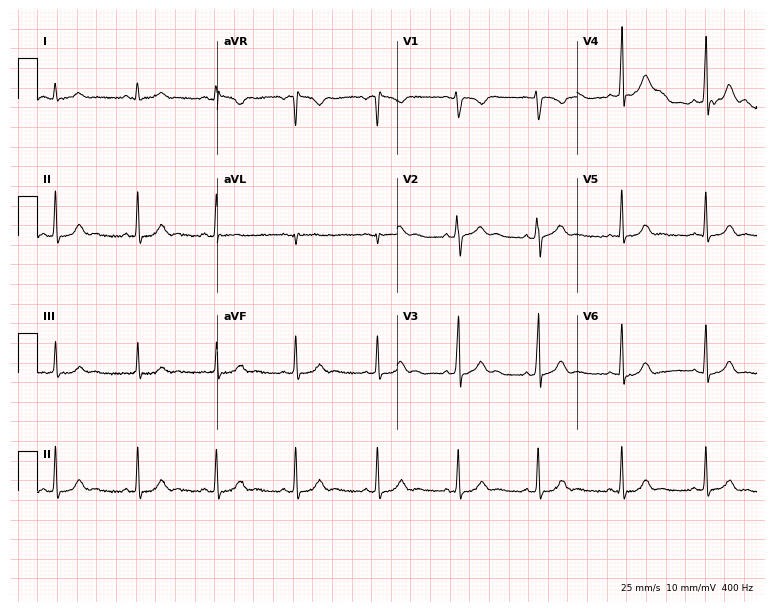
Electrocardiogram (7.3-second recording at 400 Hz), a female patient, 19 years old. Overall reading on record: normal ECG.